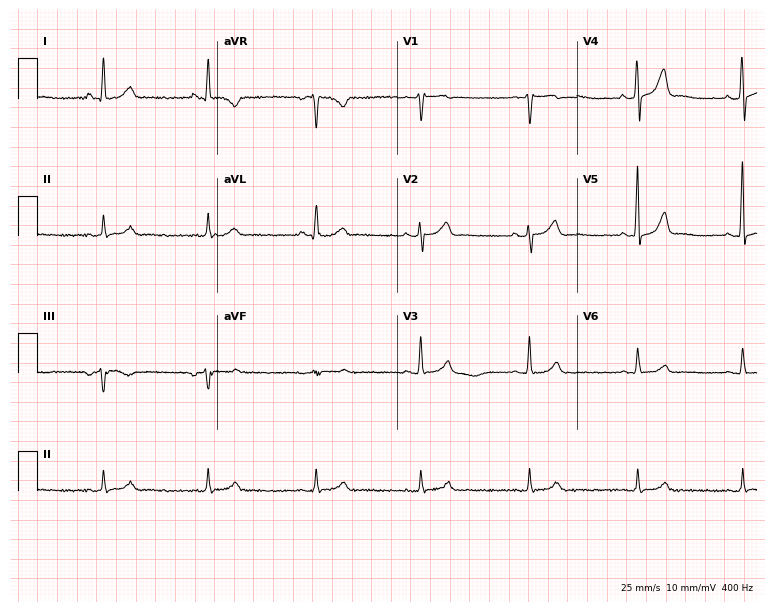
ECG — a 49-year-old male. Labelled as a normal ECG.